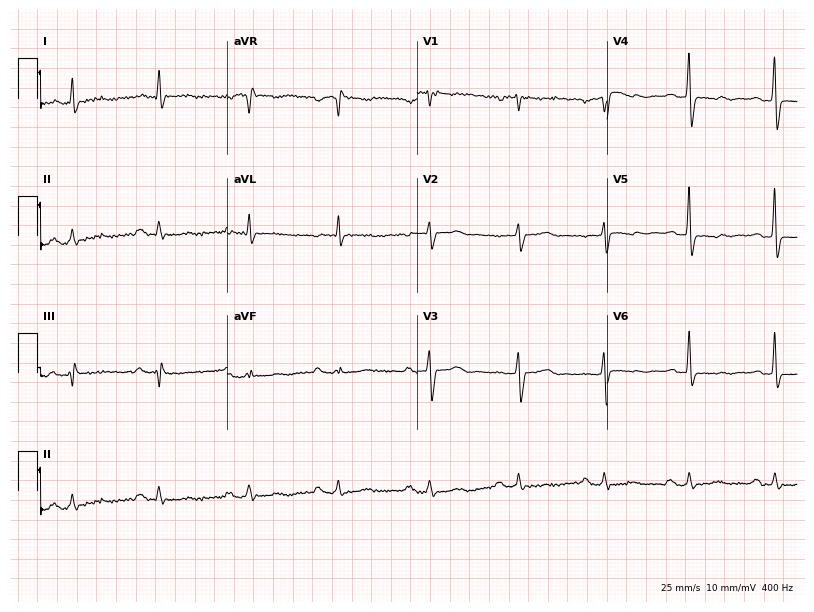
ECG — a male patient, 59 years old. Screened for six findings — first-degree AV block, right bundle branch block (RBBB), left bundle branch block (LBBB), sinus bradycardia, atrial fibrillation (AF), sinus tachycardia — none is recorded. Findings outside these six are not listed.